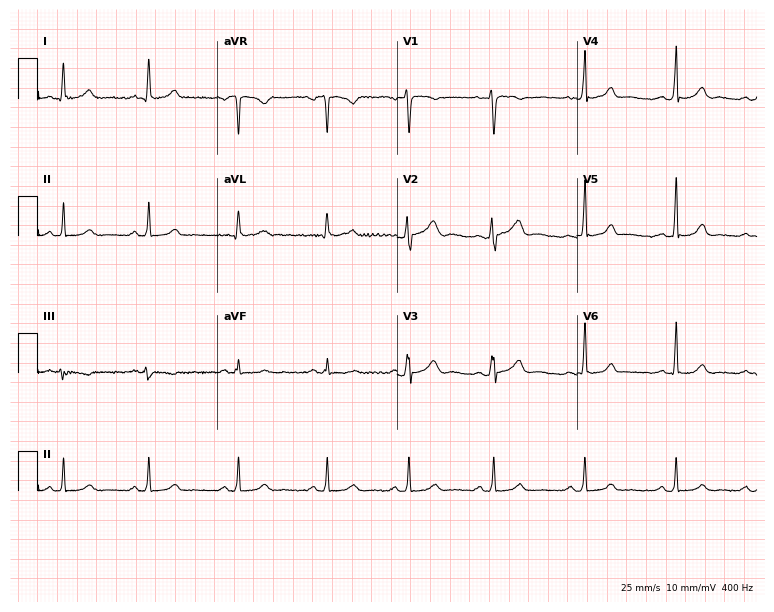
12-lead ECG from a female, 35 years old. Labelled as a normal ECG.